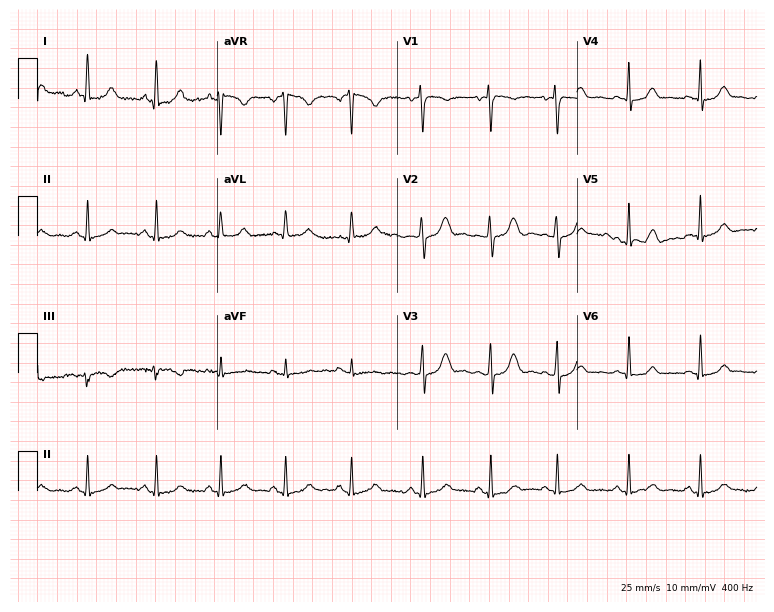
Standard 12-lead ECG recorded from a 27-year-old female. None of these six findings is recorded: first-degree AV block, right bundle branch block, left bundle branch block, sinus bradycardia, atrial fibrillation, sinus tachycardia. Other findings, if any, are not listed.